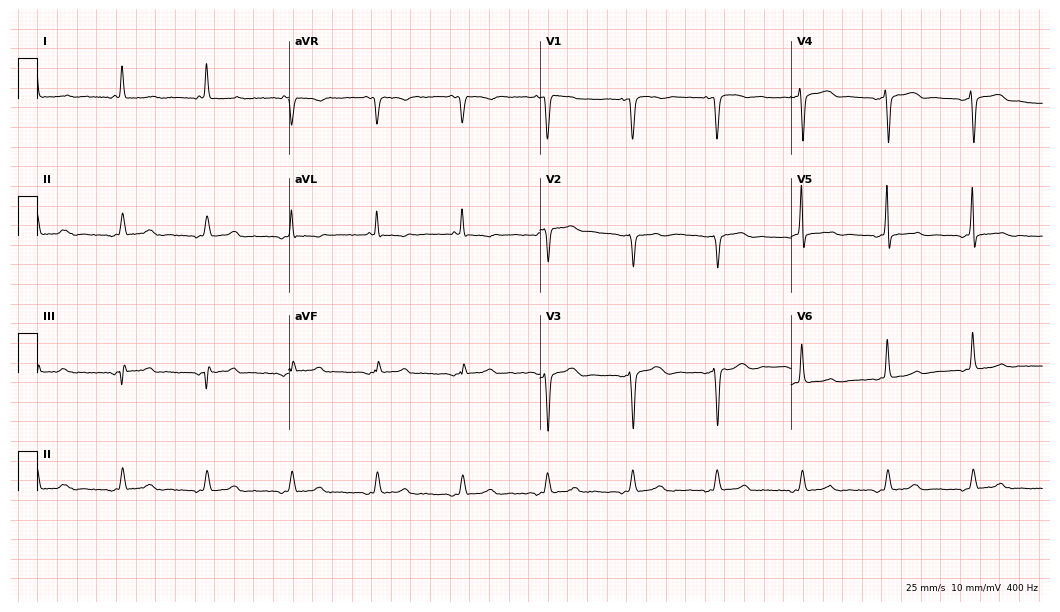
Resting 12-lead electrocardiogram. Patient: a 68-year-old female. None of these six findings is recorded: first-degree AV block, right bundle branch block, left bundle branch block, sinus bradycardia, atrial fibrillation, sinus tachycardia. Findings outside these six are not listed.